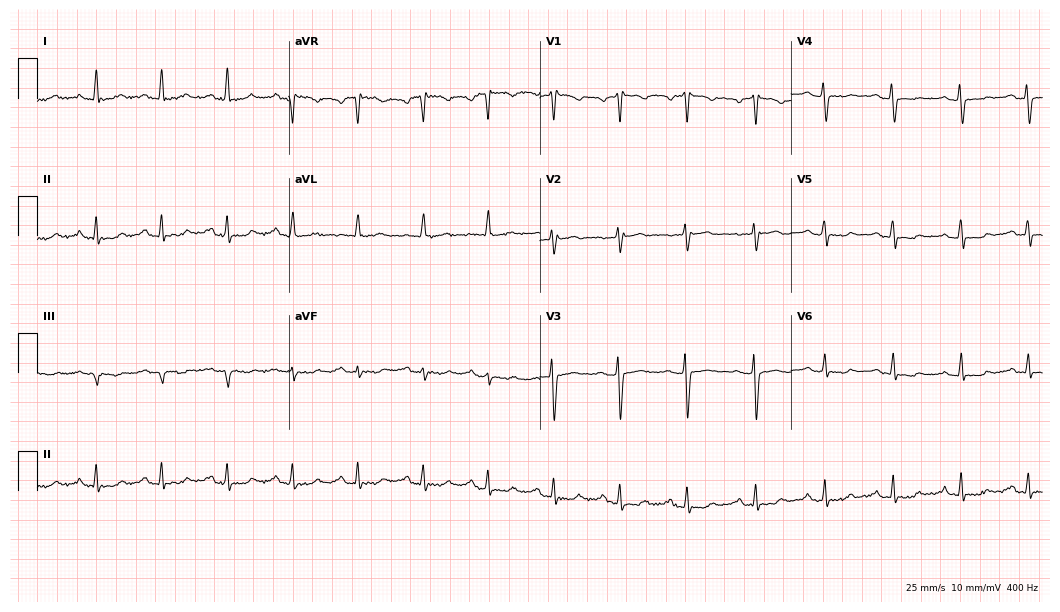
12-lead ECG from a female, 55 years old (10.2-second recording at 400 Hz). No first-degree AV block, right bundle branch block, left bundle branch block, sinus bradycardia, atrial fibrillation or sinus tachycardia recorded for this tracing.